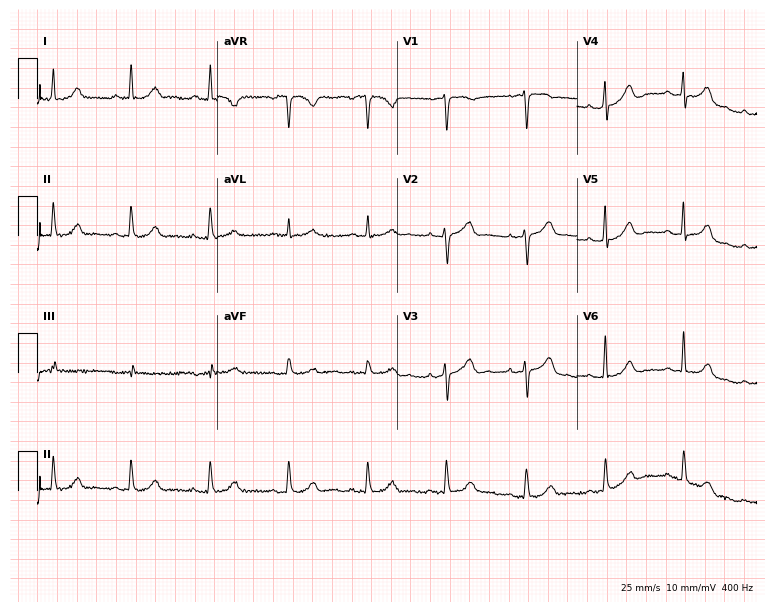
Resting 12-lead electrocardiogram. Patient: a 79-year-old woman. None of these six findings is recorded: first-degree AV block, right bundle branch block, left bundle branch block, sinus bradycardia, atrial fibrillation, sinus tachycardia. Only these six findings were labelled.